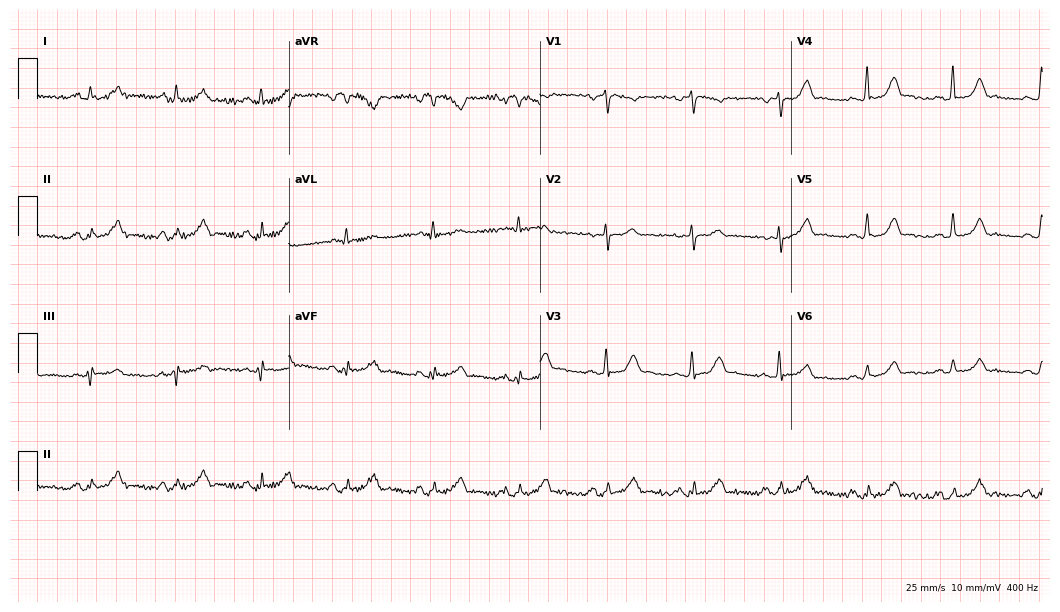
ECG — a 42-year-old female. Labelled as a normal ECG.